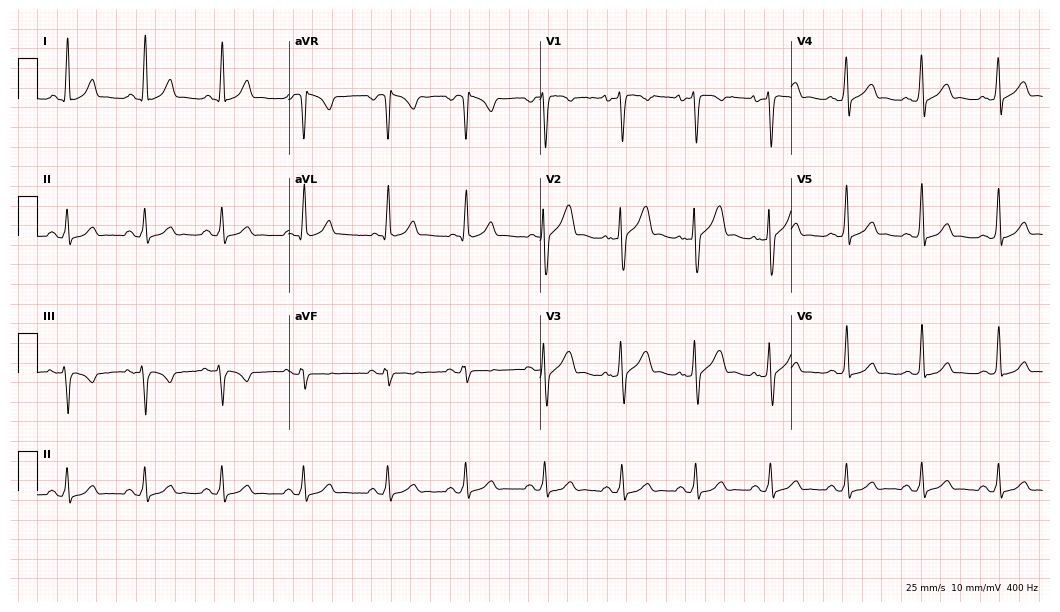
ECG — a 31-year-old male. Screened for six findings — first-degree AV block, right bundle branch block, left bundle branch block, sinus bradycardia, atrial fibrillation, sinus tachycardia — none is recorded. Findings outside these six are not listed.